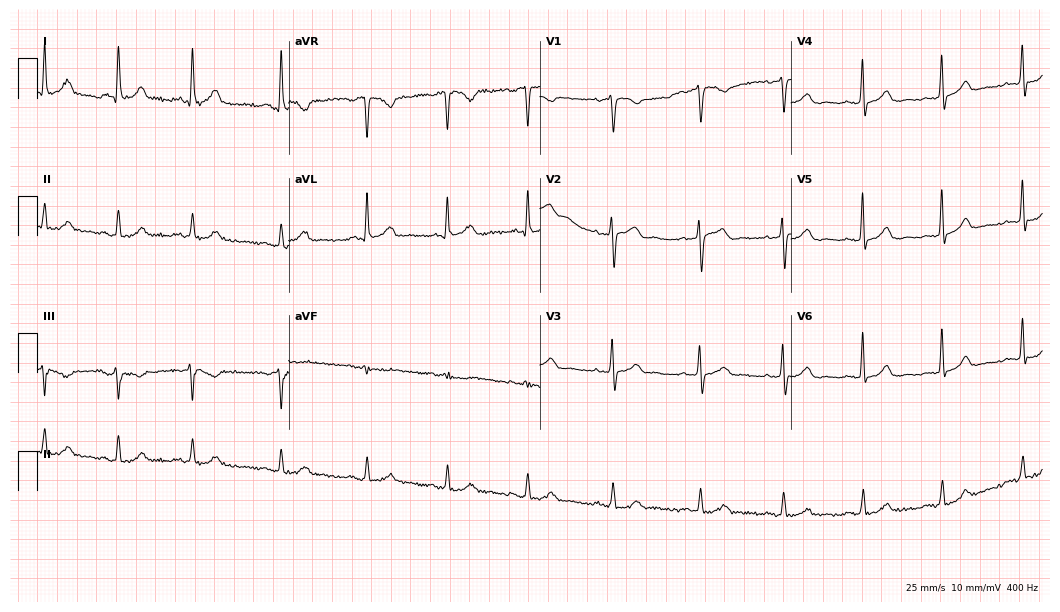
Electrocardiogram (10.2-second recording at 400 Hz), a 35-year-old female patient. Overall reading on record: normal ECG.